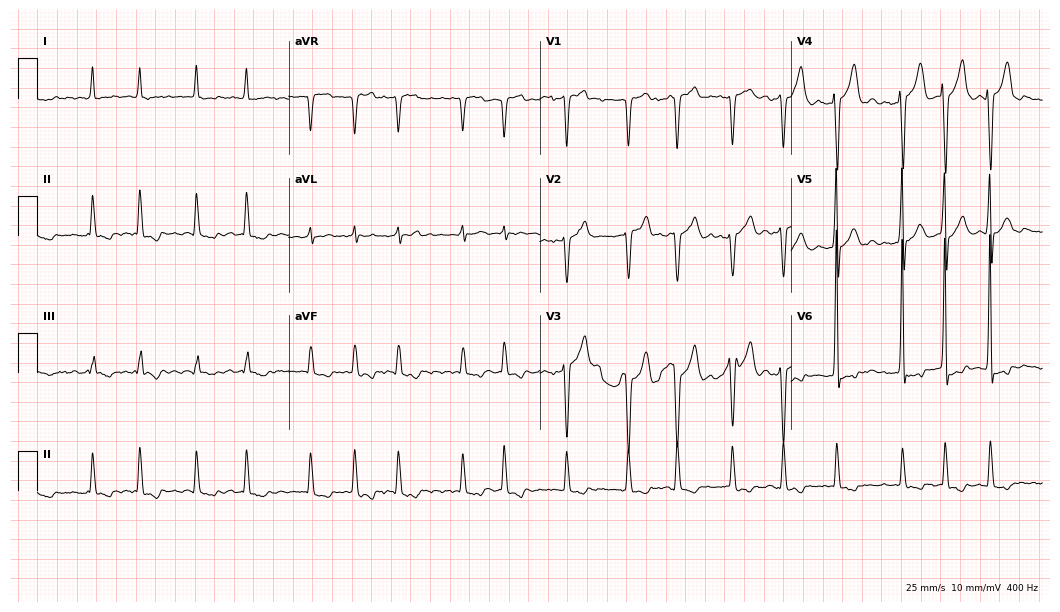
12-lead ECG (10.2-second recording at 400 Hz) from a male, 69 years old. Findings include atrial fibrillation (AF).